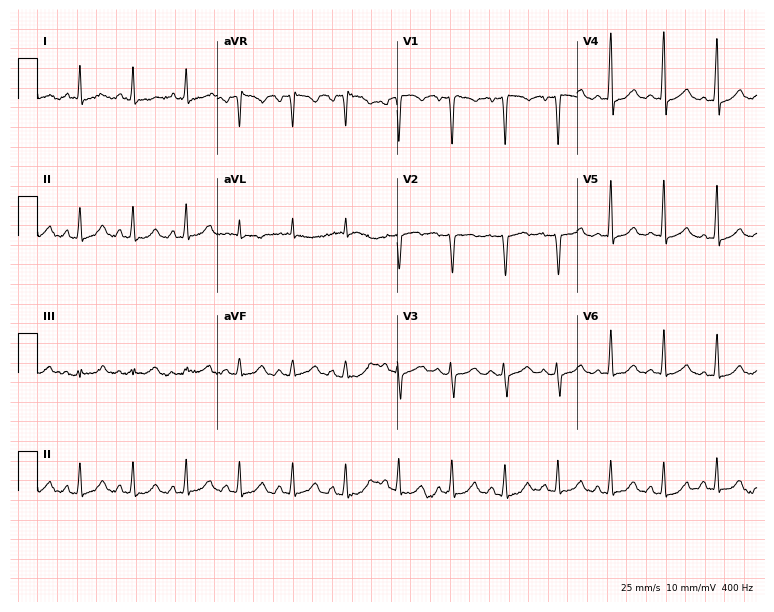
Standard 12-lead ECG recorded from a female, 44 years old. The tracing shows sinus tachycardia (a sinus rate of 100 beats per minute or more).